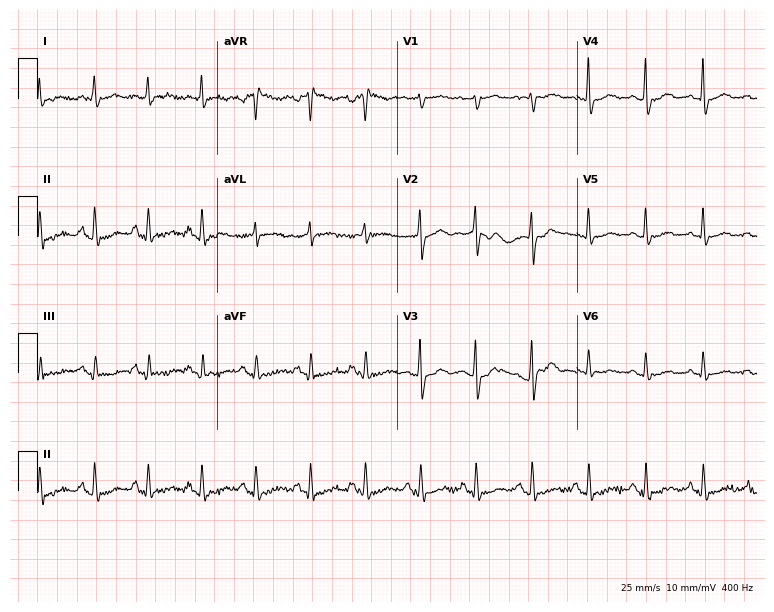
12-lead ECG (7.3-second recording at 400 Hz) from a 62-year-old woman. Findings include sinus tachycardia (a sinus rate of 100 beats per minute or more).